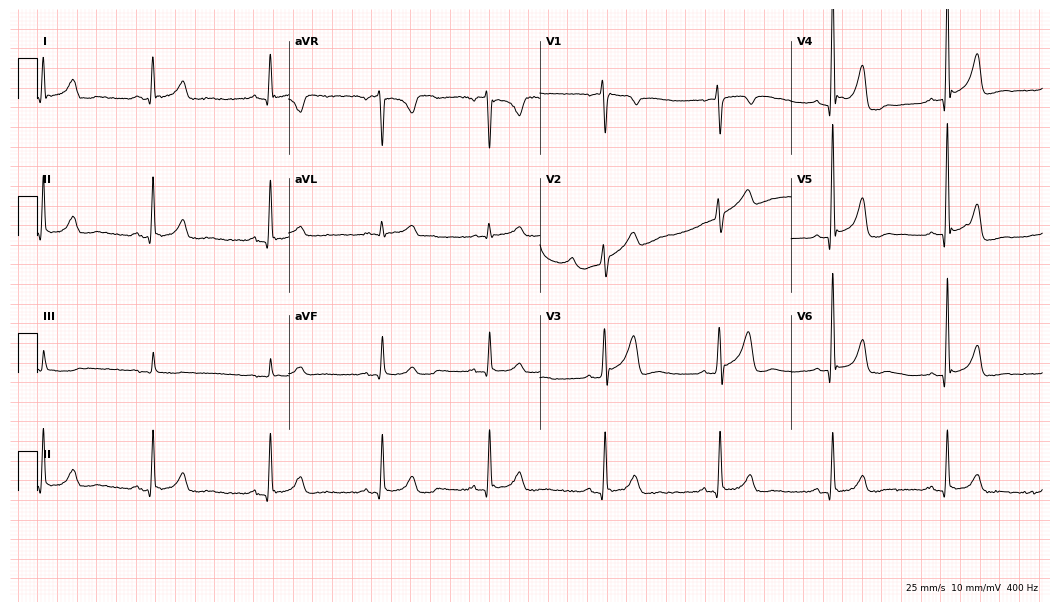
12-lead ECG from a 70-year-old man (10.2-second recording at 400 Hz). No first-degree AV block, right bundle branch block, left bundle branch block, sinus bradycardia, atrial fibrillation or sinus tachycardia recorded for this tracing. Other findings, if any, are not listed.